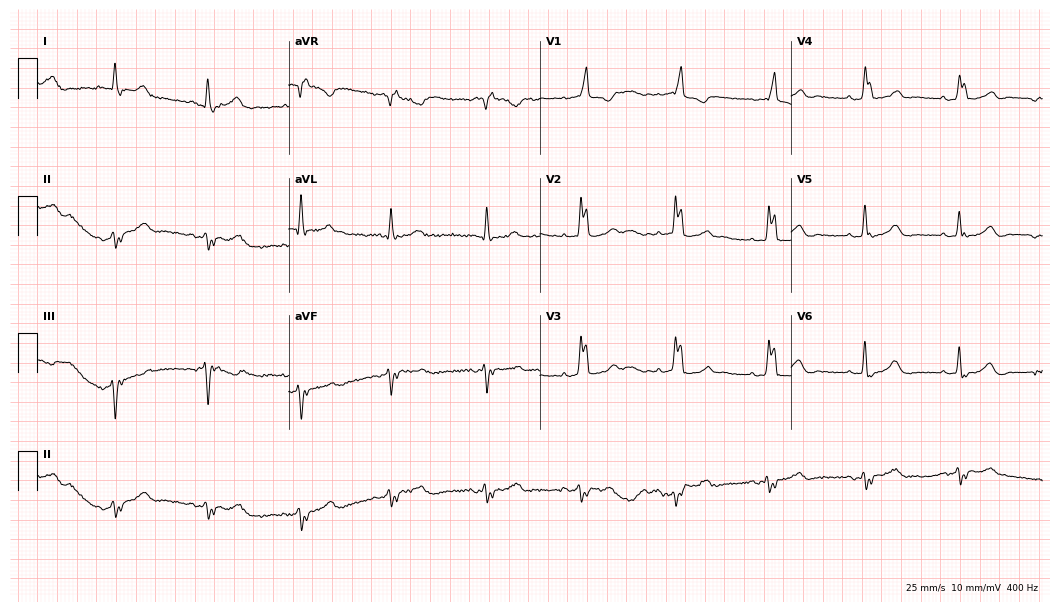
Standard 12-lead ECG recorded from a 78-year-old woman (10.2-second recording at 400 Hz). The tracing shows right bundle branch block.